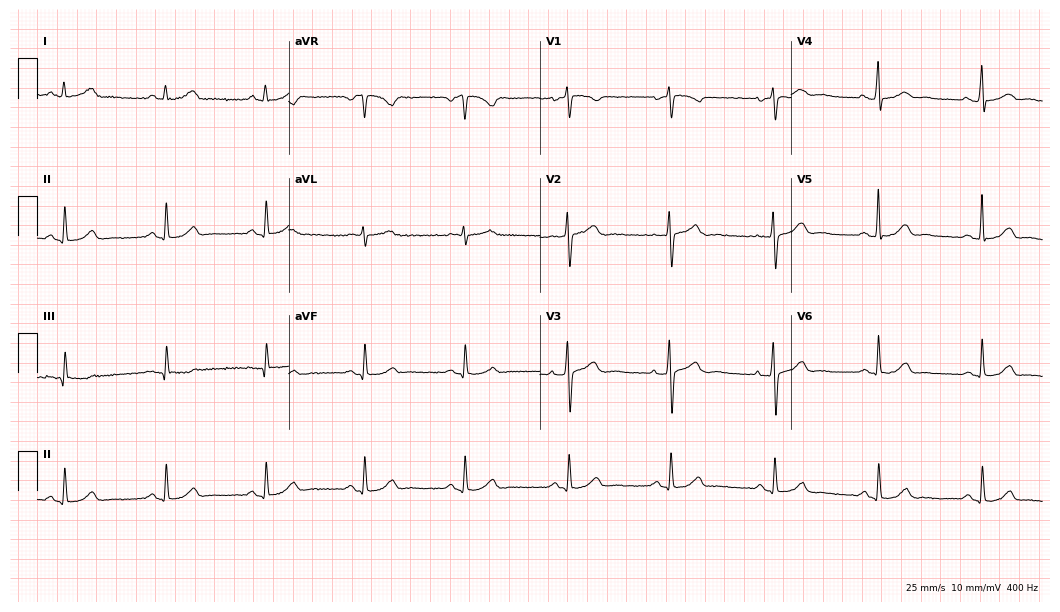
ECG (10.2-second recording at 400 Hz) — a female patient, 42 years old. Screened for six findings — first-degree AV block, right bundle branch block (RBBB), left bundle branch block (LBBB), sinus bradycardia, atrial fibrillation (AF), sinus tachycardia — none is recorded. Other findings, if any, are not listed.